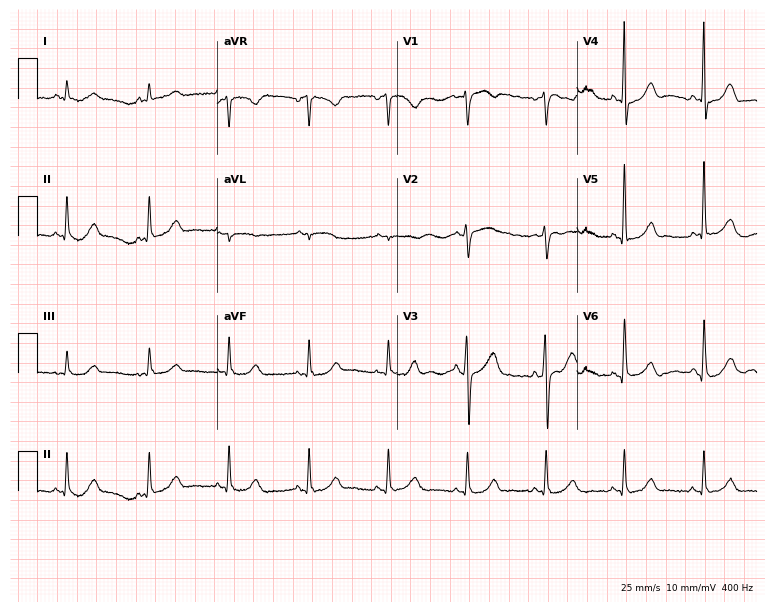
Electrocardiogram, a 59-year-old male patient. Overall reading on record: normal ECG.